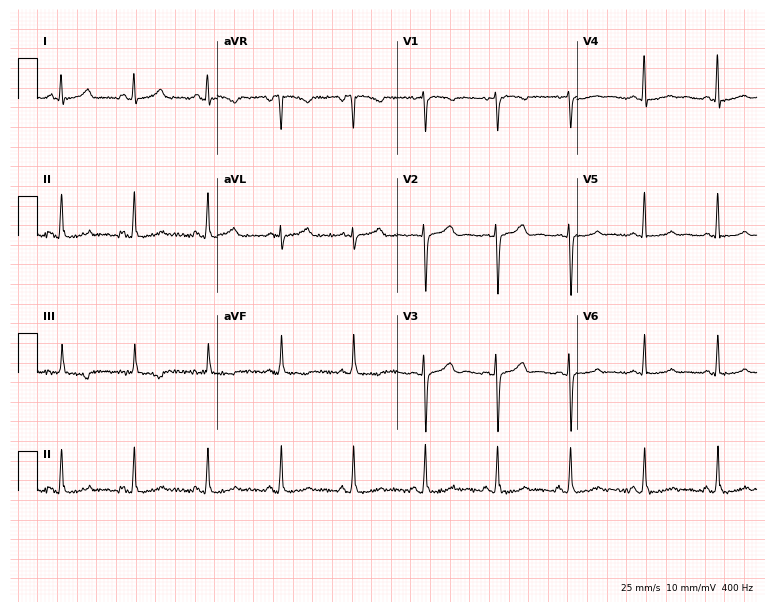
12-lead ECG from a 31-year-old female patient. No first-degree AV block, right bundle branch block, left bundle branch block, sinus bradycardia, atrial fibrillation or sinus tachycardia recorded for this tracing.